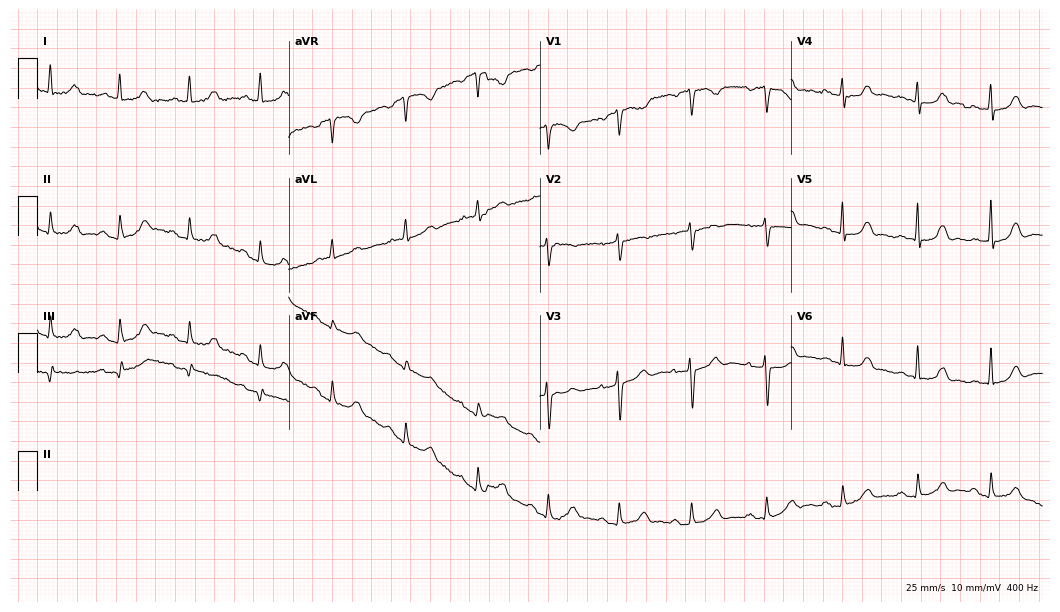
Standard 12-lead ECG recorded from a female patient, 83 years old. Read as a normal ECG.